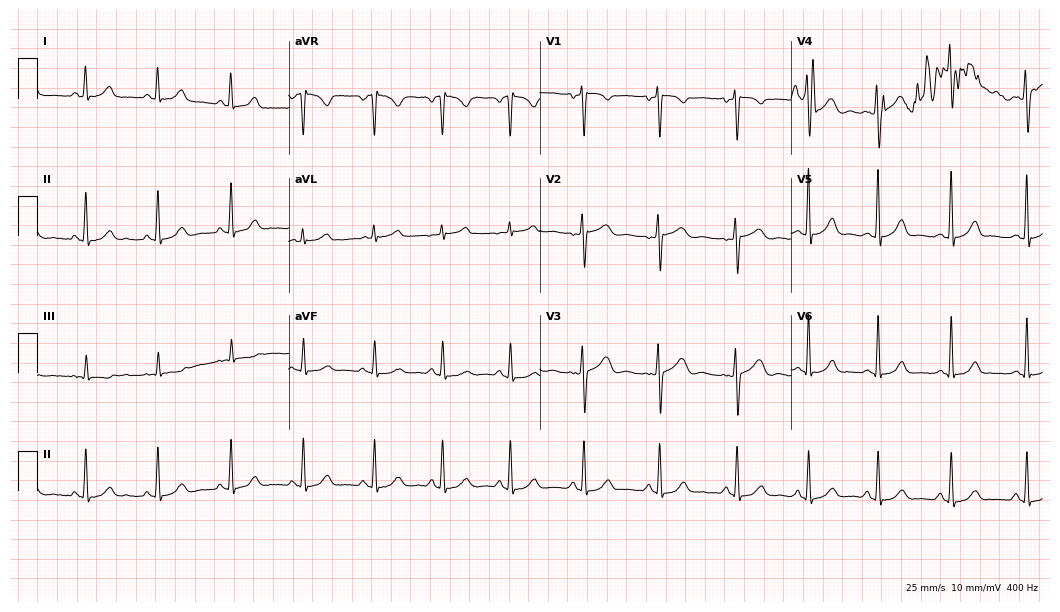
Electrocardiogram (10.2-second recording at 400 Hz), a 30-year-old woman. Of the six screened findings (first-degree AV block, right bundle branch block, left bundle branch block, sinus bradycardia, atrial fibrillation, sinus tachycardia), none is recorded. Only these six findings were labelled.